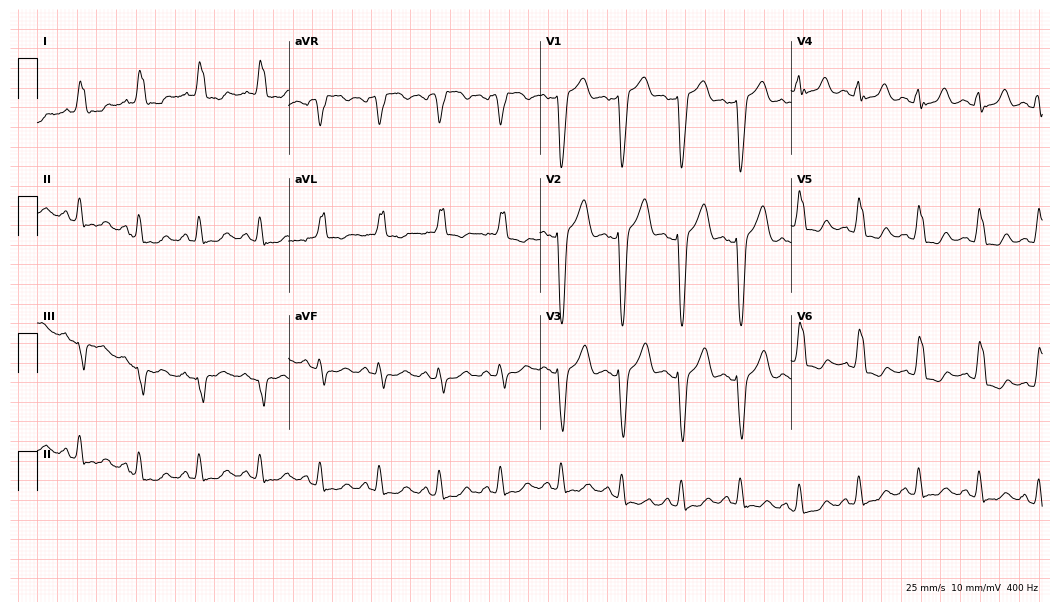
ECG — a 58-year-old female patient. Findings include left bundle branch block (LBBB).